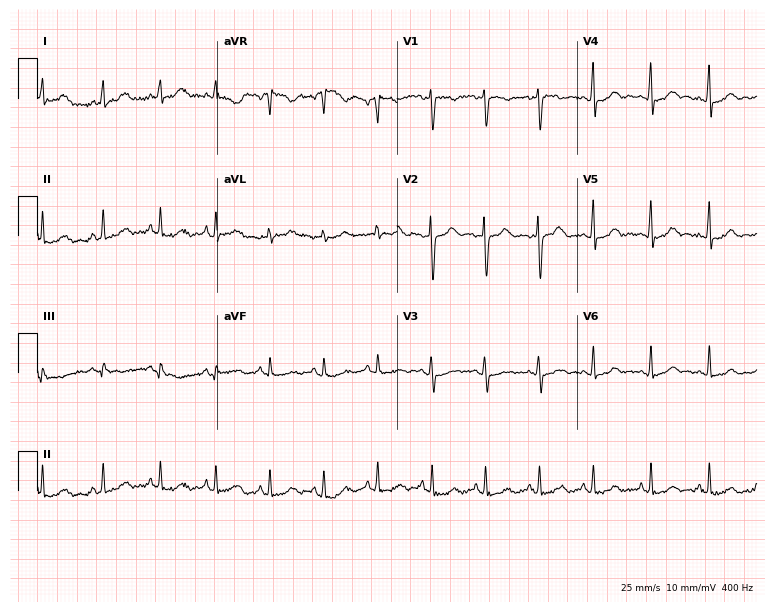
12-lead ECG (7.3-second recording at 400 Hz) from a female, 26 years old. Findings include sinus tachycardia (a sinus rate of 100 beats per minute or more).